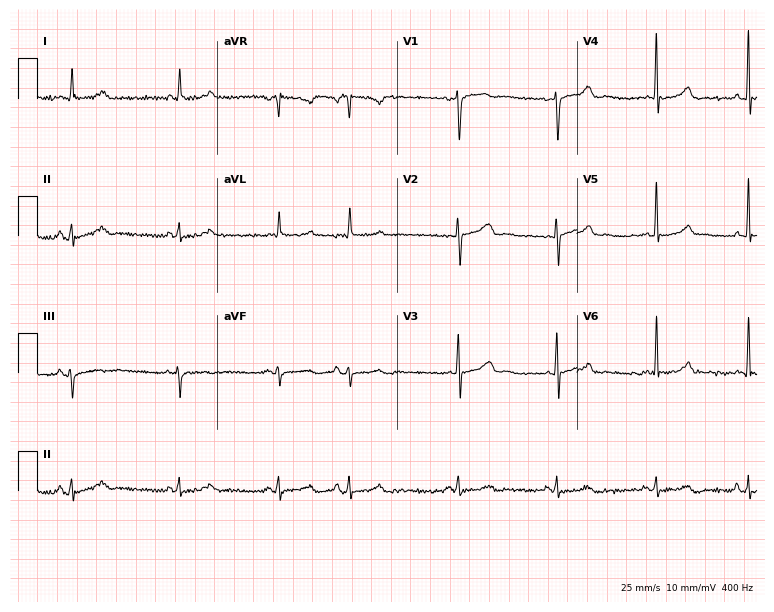
Resting 12-lead electrocardiogram. Patient: a 61-year-old female. None of these six findings is recorded: first-degree AV block, right bundle branch block, left bundle branch block, sinus bradycardia, atrial fibrillation, sinus tachycardia.